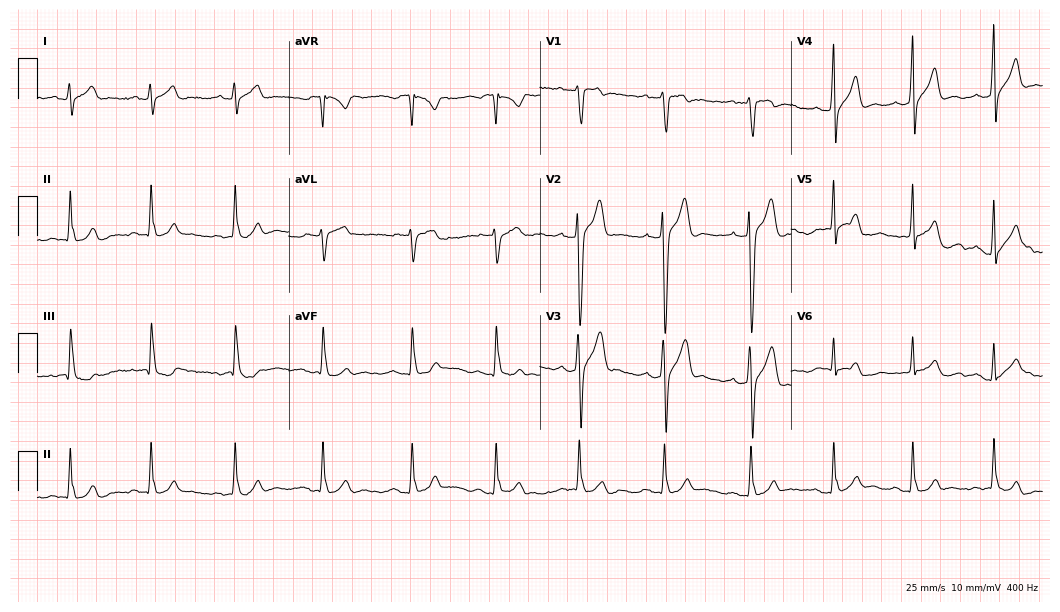
Resting 12-lead electrocardiogram (10.2-second recording at 400 Hz). Patient: a male, 20 years old. Read as a normal ECG.